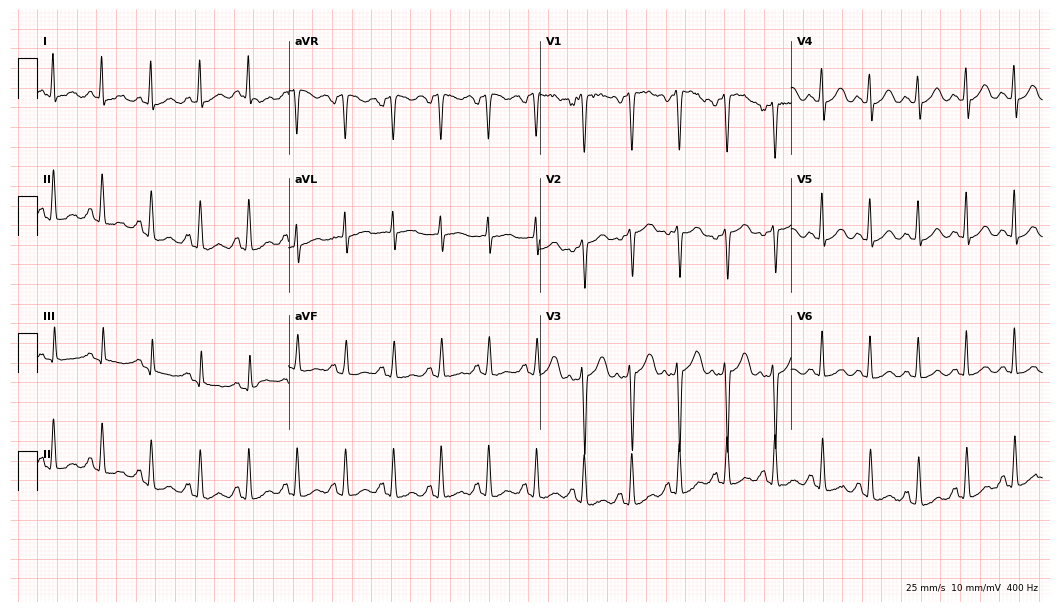
ECG — a female patient, 41 years old. Findings include sinus tachycardia (a sinus rate of 100 beats per minute or more).